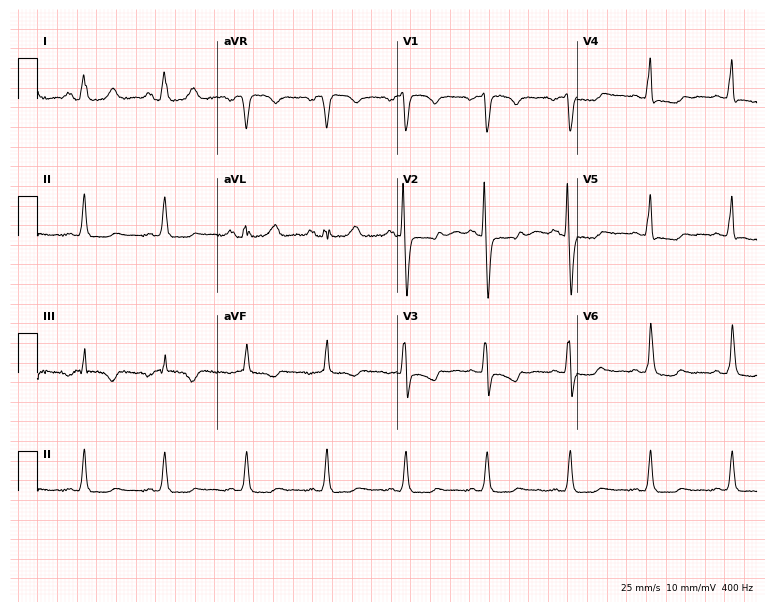
ECG — a female patient, 22 years old. Screened for six findings — first-degree AV block, right bundle branch block, left bundle branch block, sinus bradycardia, atrial fibrillation, sinus tachycardia — none is recorded.